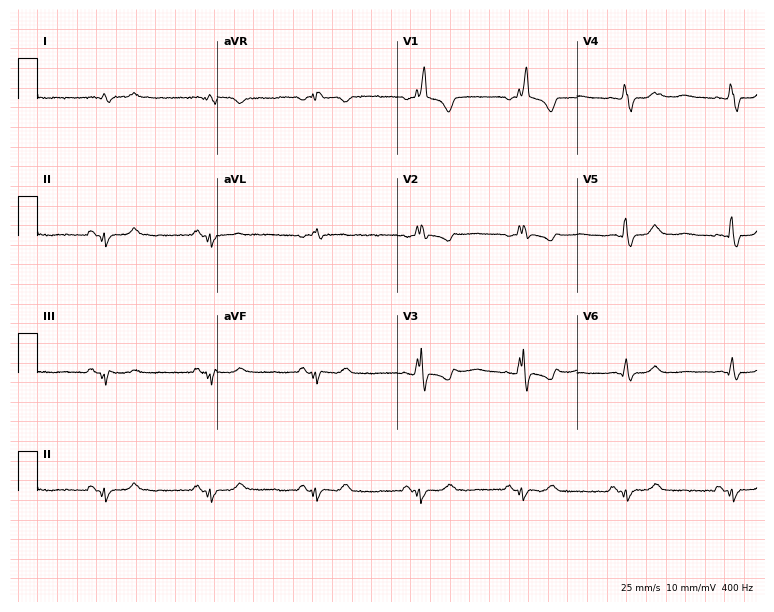
Standard 12-lead ECG recorded from a male patient, 64 years old. The tracing shows right bundle branch block (RBBB).